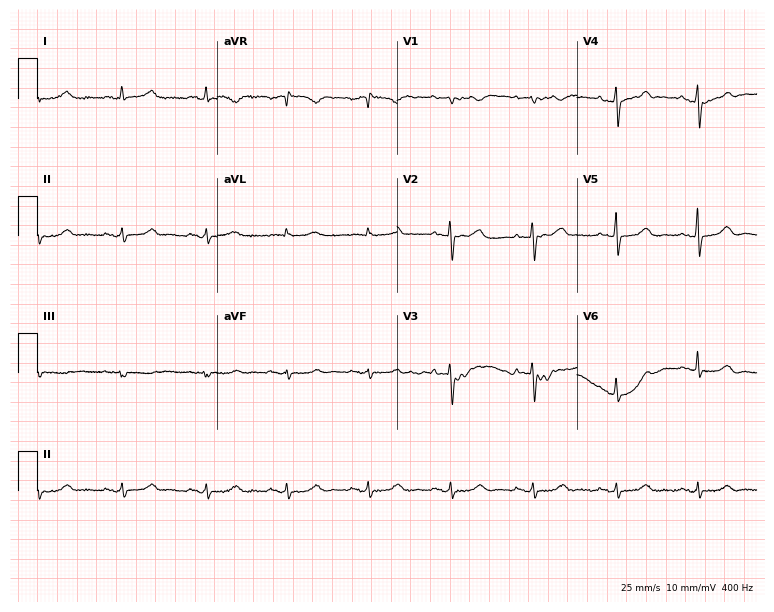
Resting 12-lead electrocardiogram. Patient: a female, 75 years old. None of these six findings is recorded: first-degree AV block, right bundle branch block, left bundle branch block, sinus bradycardia, atrial fibrillation, sinus tachycardia. Only these six findings were labelled.